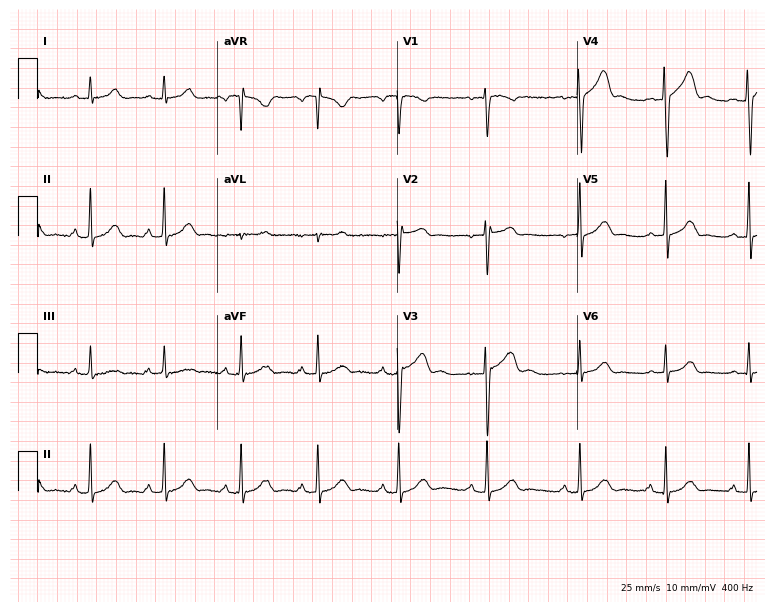
Standard 12-lead ECG recorded from a female, 27 years old (7.3-second recording at 400 Hz). None of these six findings is recorded: first-degree AV block, right bundle branch block, left bundle branch block, sinus bradycardia, atrial fibrillation, sinus tachycardia.